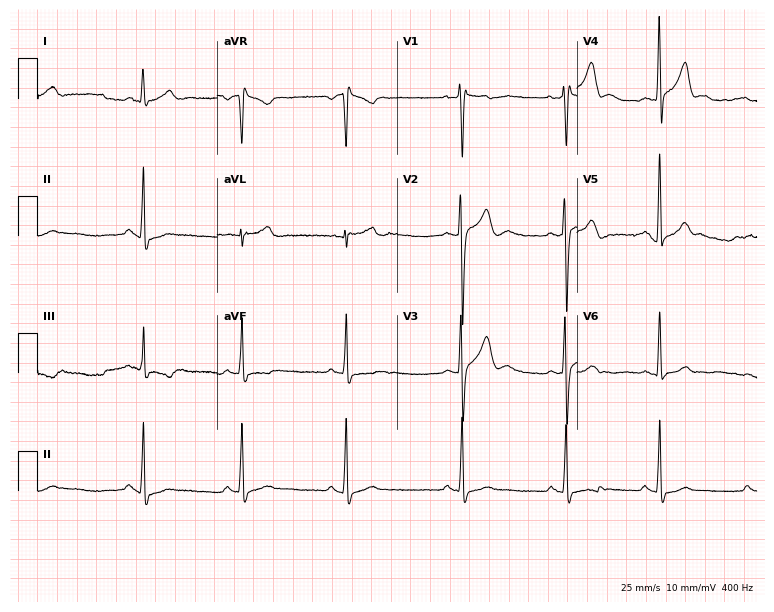
ECG — a 22-year-old male. Labelled as a normal ECG.